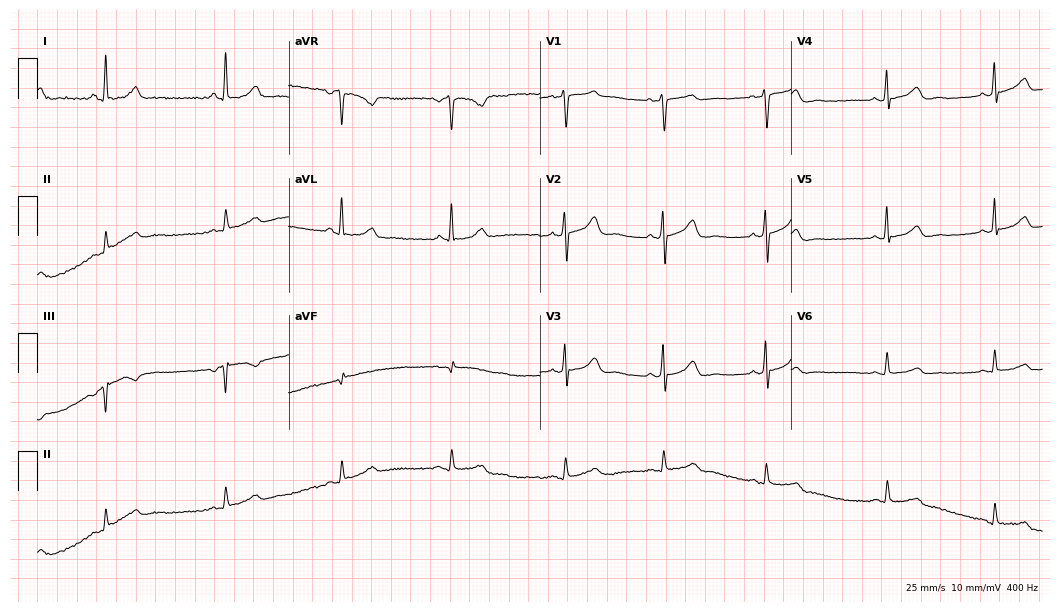
12-lead ECG from a female, 32 years old (10.2-second recording at 400 Hz). Recorded interpretation: within normal limits.